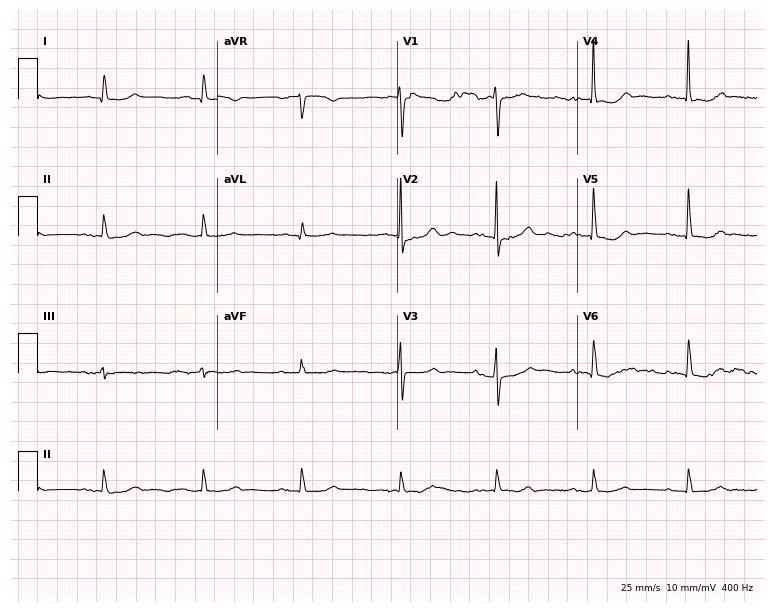
Electrocardiogram (7.3-second recording at 400 Hz), an 82-year-old male. Of the six screened findings (first-degree AV block, right bundle branch block, left bundle branch block, sinus bradycardia, atrial fibrillation, sinus tachycardia), none is recorded.